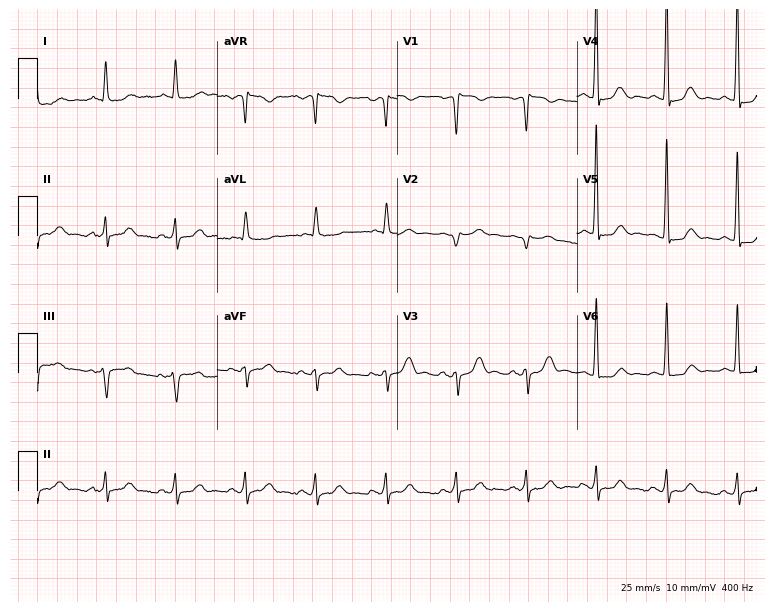
Standard 12-lead ECG recorded from an 84-year-old male patient. None of these six findings is recorded: first-degree AV block, right bundle branch block (RBBB), left bundle branch block (LBBB), sinus bradycardia, atrial fibrillation (AF), sinus tachycardia. Only these six findings were labelled.